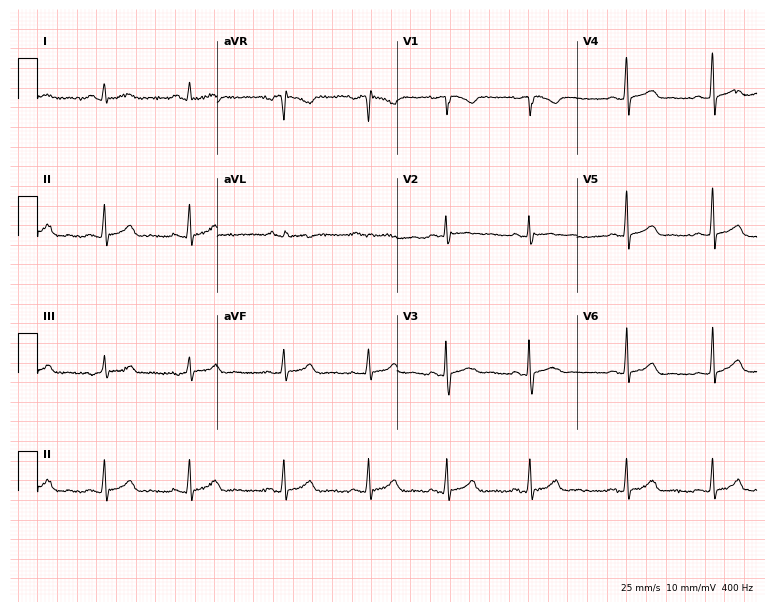
Electrocardiogram (7.3-second recording at 400 Hz), a female, 24 years old. Overall reading on record: normal ECG.